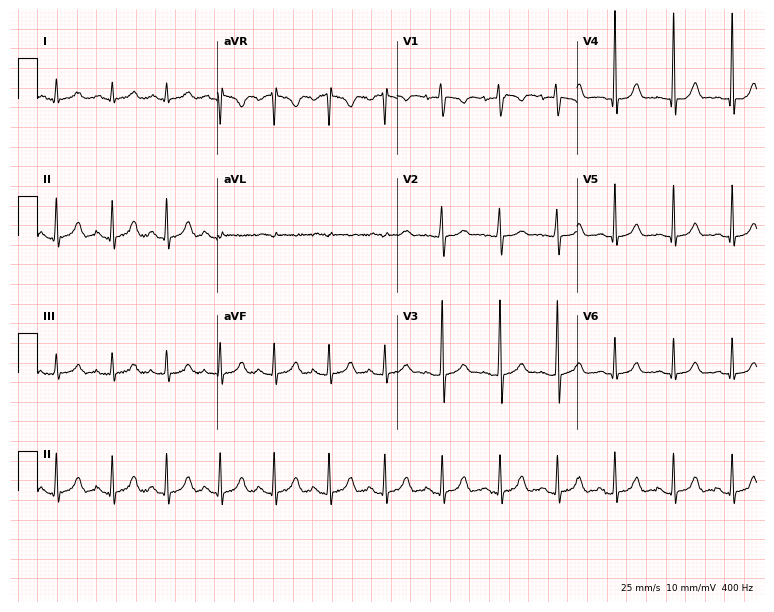
Electrocardiogram, a woman, 19 years old. Overall reading on record: normal ECG.